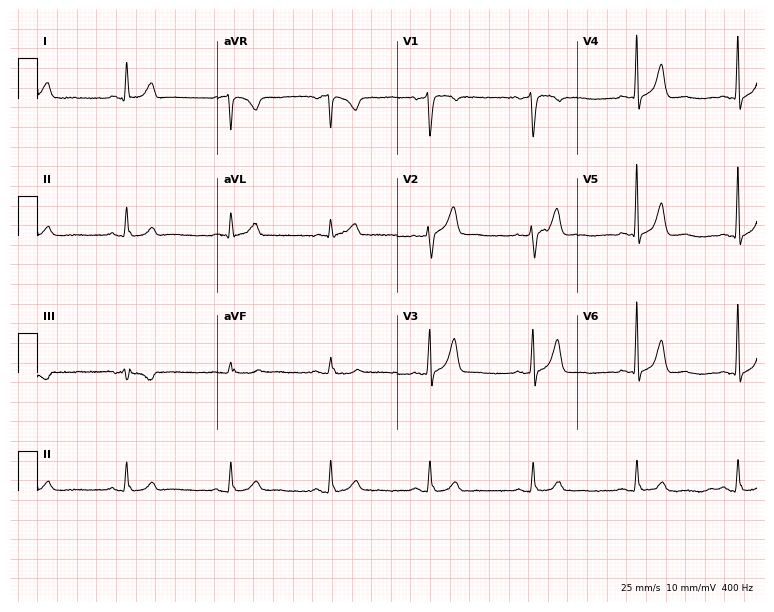
Electrocardiogram, a 78-year-old man. Overall reading on record: normal ECG.